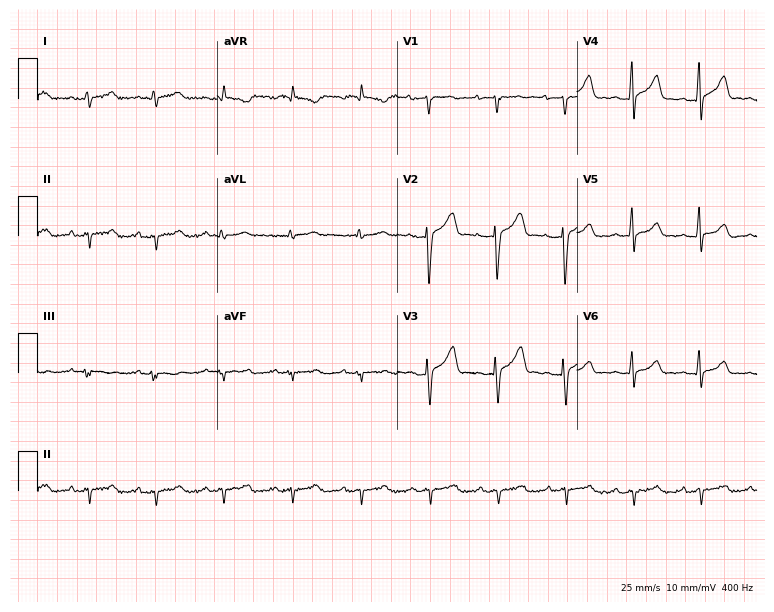
12-lead ECG (7.3-second recording at 400 Hz) from a 31-year-old man. Screened for six findings — first-degree AV block, right bundle branch block (RBBB), left bundle branch block (LBBB), sinus bradycardia, atrial fibrillation (AF), sinus tachycardia — none is recorded.